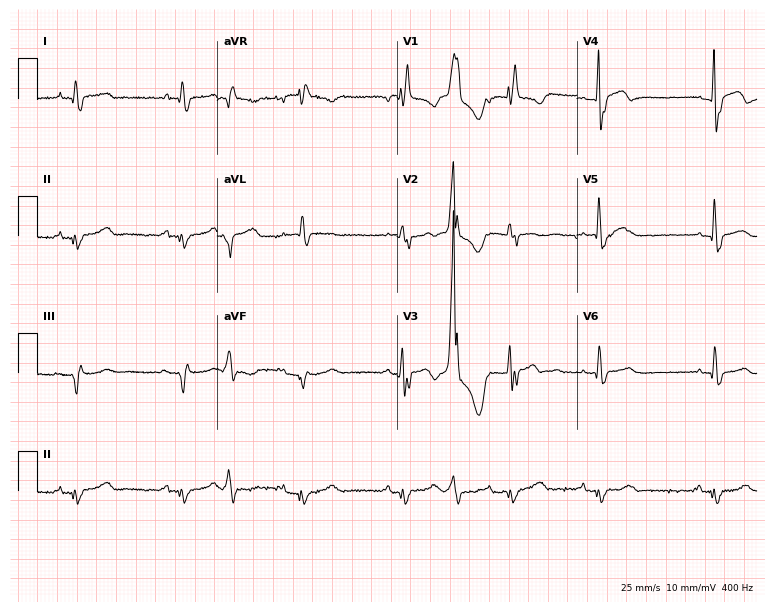
Resting 12-lead electrocardiogram. Patient: a 65-year-old female. None of these six findings is recorded: first-degree AV block, right bundle branch block, left bundle branch block, sinus bradycardia, atrial fibrillation, sinus tachycardia. Other findings, if any, are not listed.